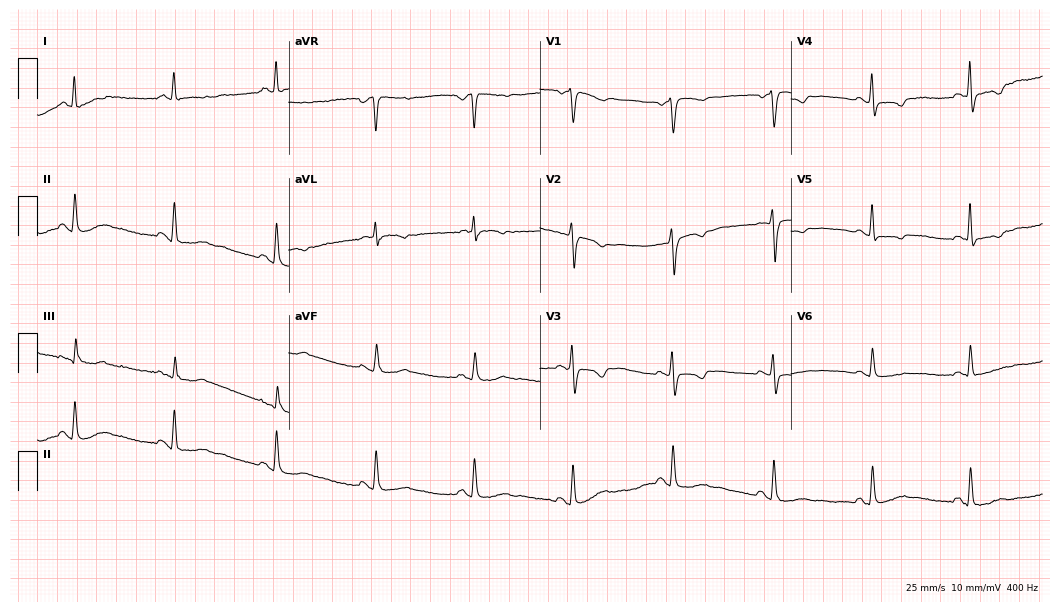
12-lead ECG from a female, 67 years old. No first-degree AV block, right bundle branch block, left bundle branch block, sinus bradycardia, atrial fibrillation or sinus tachycardia recorded for this tracing. Findings outside these six are not listed.